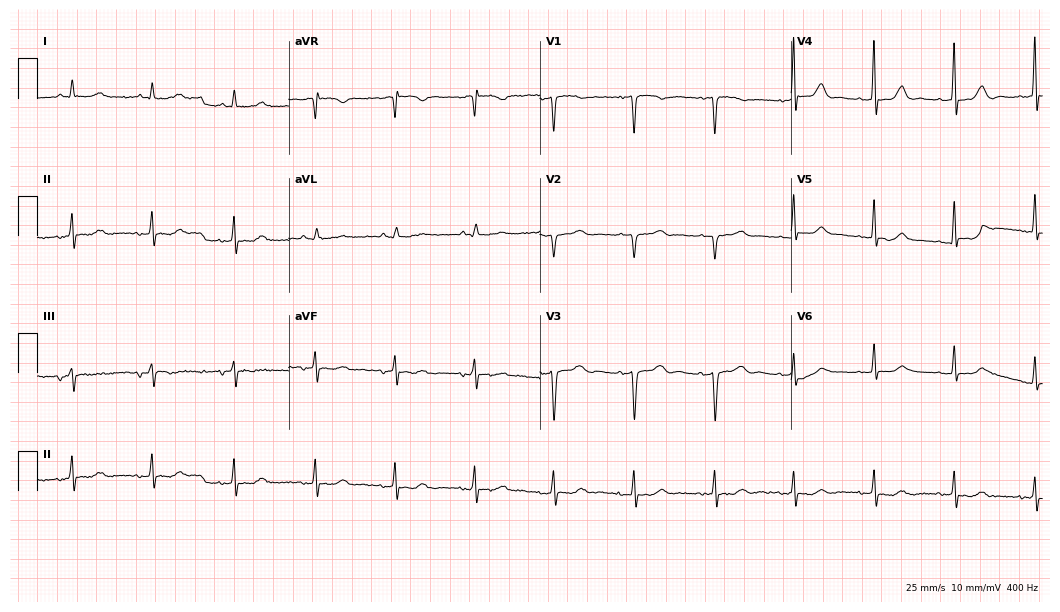
Electrocardiogram, a woman, 83 years old. Overall reading on record: normal ECG.